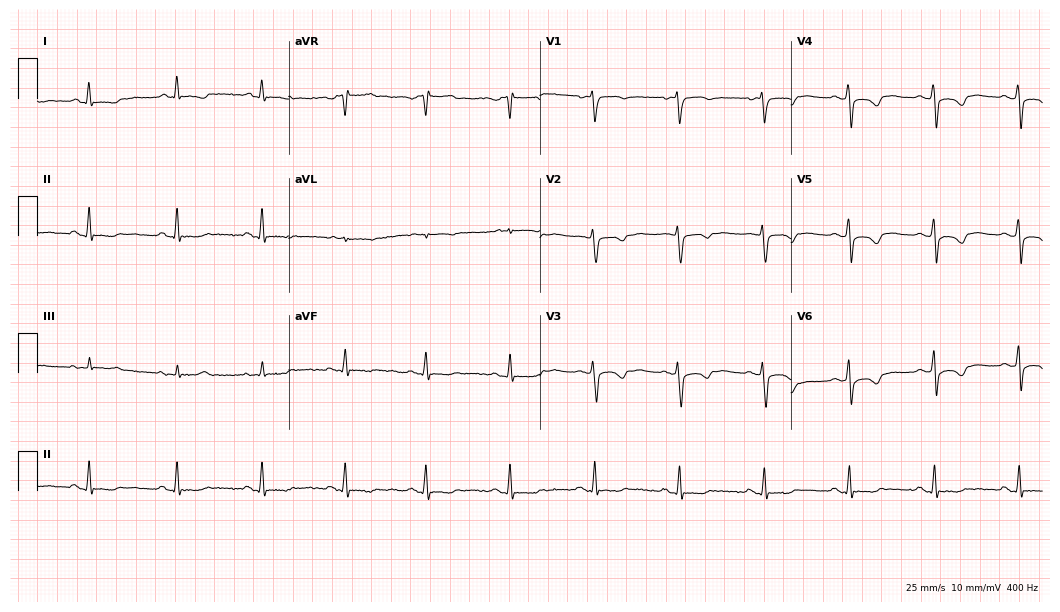
Resting 12-lead electrocardiogram. Patient: a 61-year-old woman. None of these six findings is recorded: first-degree AV block, right bundle branch block (RBBB), left bundle branch block (LBBB), sinus bradycardia, atrial fibrillation (AF), sinus tachycardia. Findings outside these six are not listed.